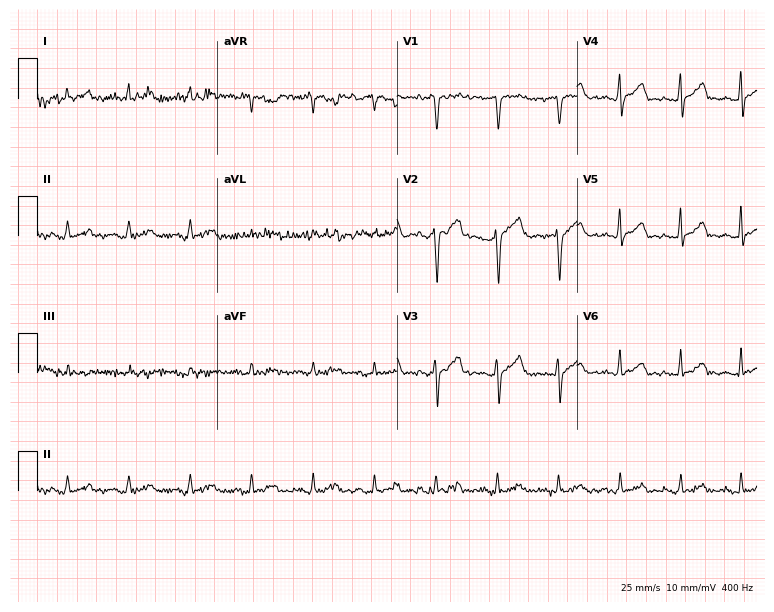
12-lead ECG (7.3-second recording at 400 Hz) from a 41-year-old man. Screened for six findings — first-degree AV block, right bundle branch block, left bundle branch block, sinus bradycardia, atrial fibrillation, sinus tachycardia — none is recorded.